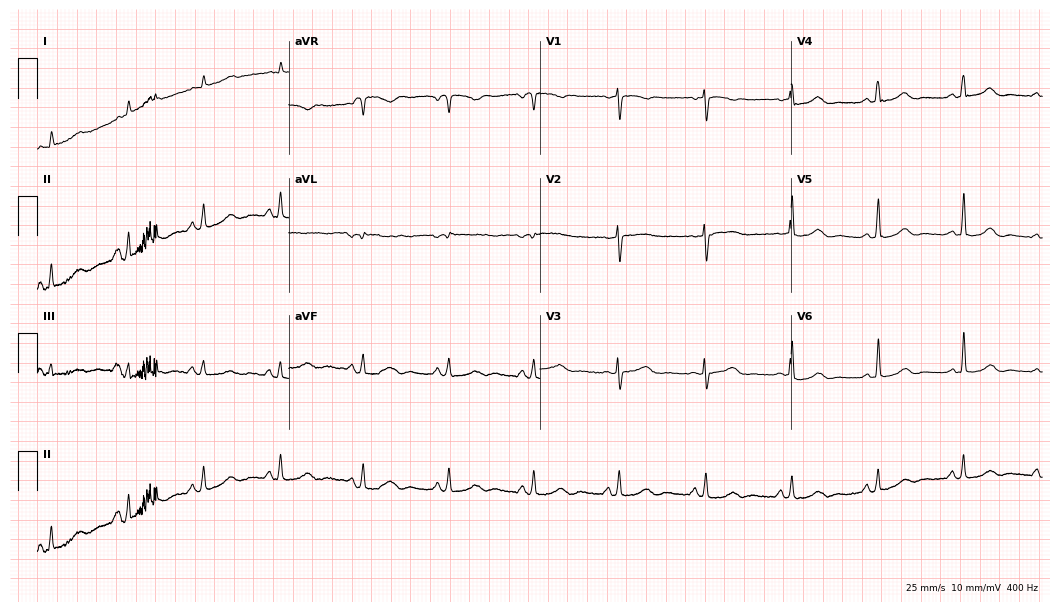
Electrocardiogram, a 77-year-old woman. Overall reading on record: normal ECG.